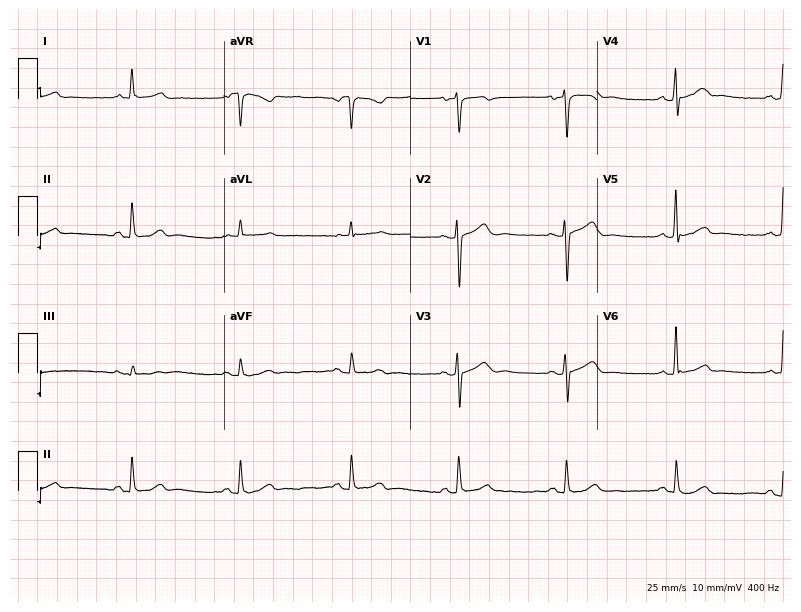
Electrocardiogram (7.6-second recording at 400 Hz), a man, 67 years old. Overall reading on record: normal ECG.